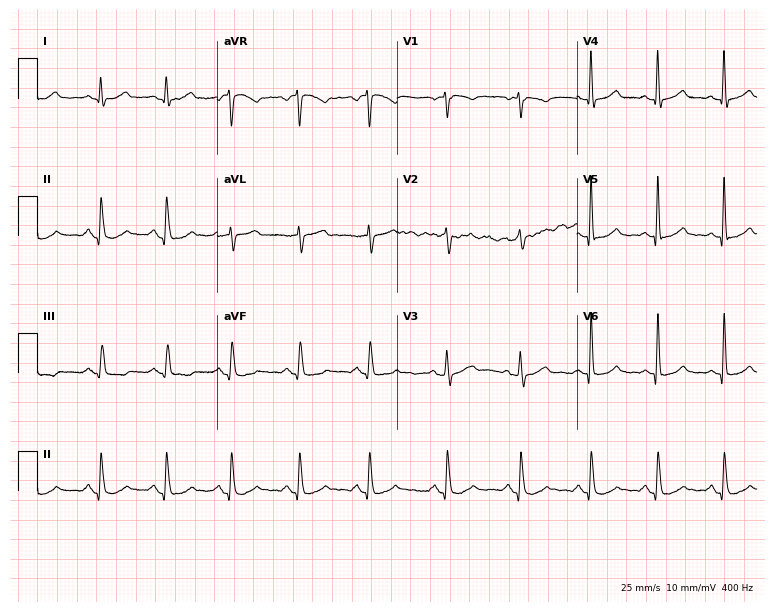
12-lead ECG from a male, 57 years old (7.3-second recording at 400 Hz). Recorded interpretation: within normal limits.